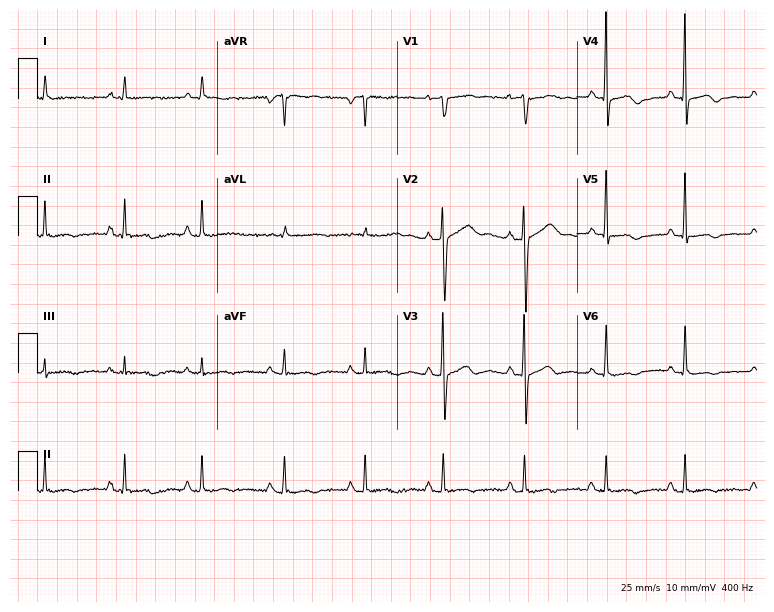
Resting 12-lead electrocardiogram. Patient: a 65-year-old woman. None of these six findings is recorded: first-degree AV block, right bundle branch block, left bundle branch block, sinus bradycardia, atrial fibrillation, sinus tachycardia.